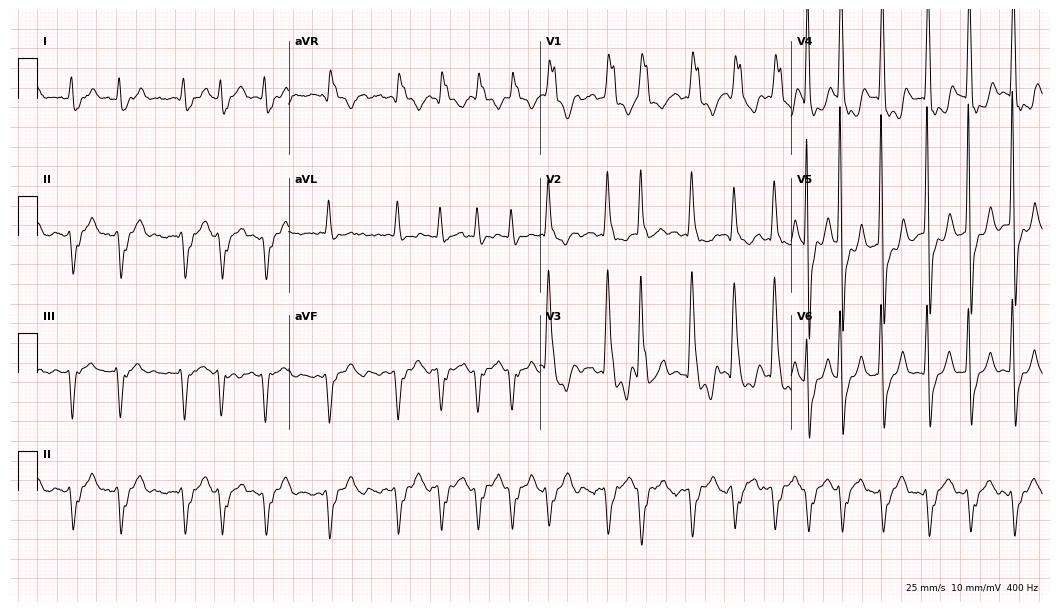
Standard 12-lead ECG recorded from an 83-year-old male (10.2-second recording at 400 Hz). The tracing shows right bundle branch block, atrial fibrillation, sinus tachycardia (a sinus rate of 100 beats per minute or more).